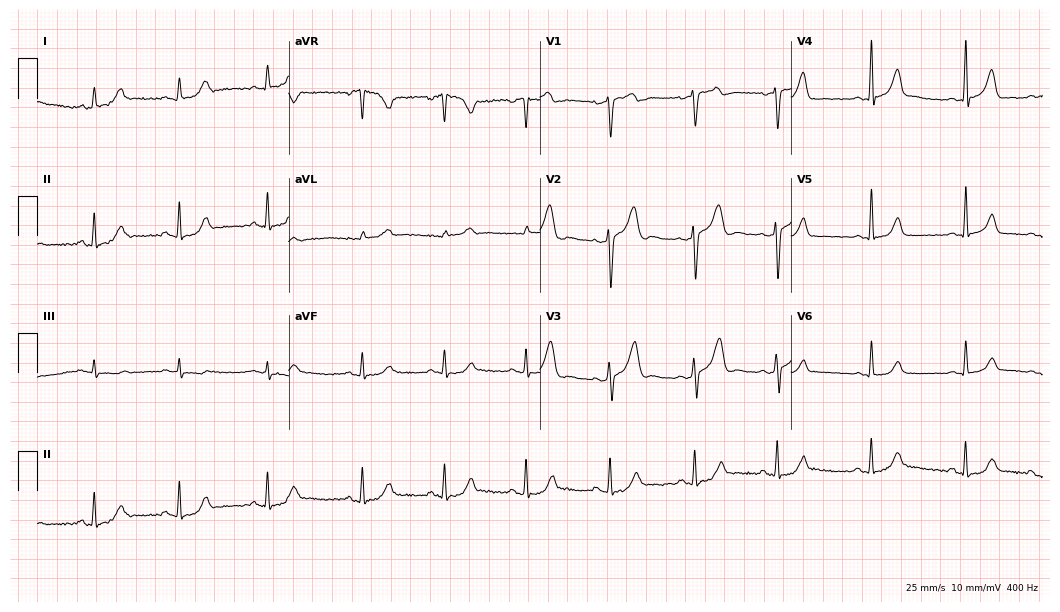
12-lead ECG from a male, 40 years old. Labelled as a normal ECG.